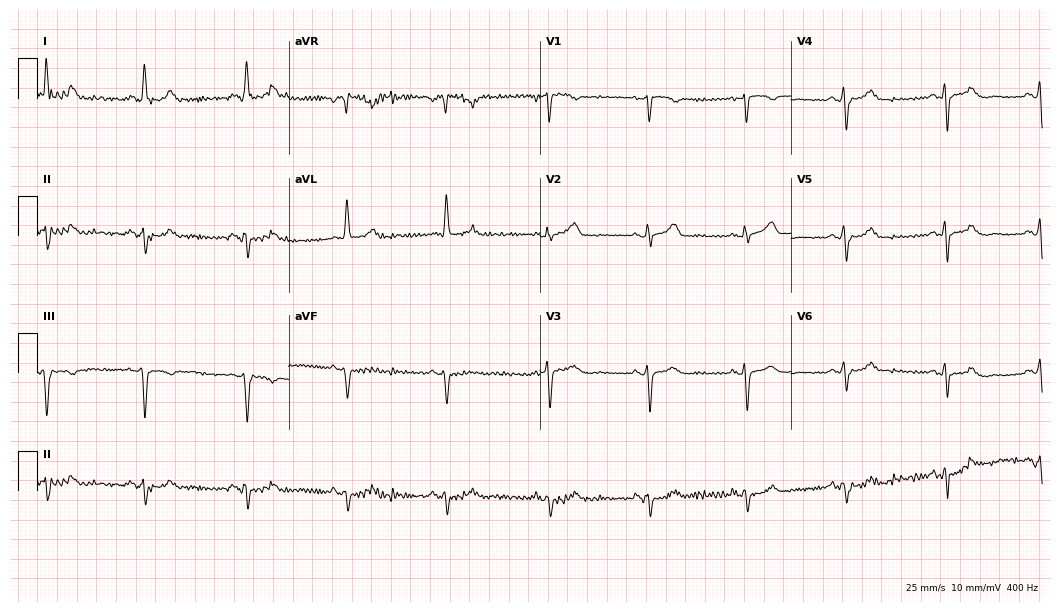
Standard 12-lead ECG recorded from a female, 73 years old. None of these six findings is recorded: first-degree AV block, right bundle branch block, left bundle branch block, sinus bradycardia, atrial fibrillation, sinus tachycardia. Other findings, if any, are not listed.